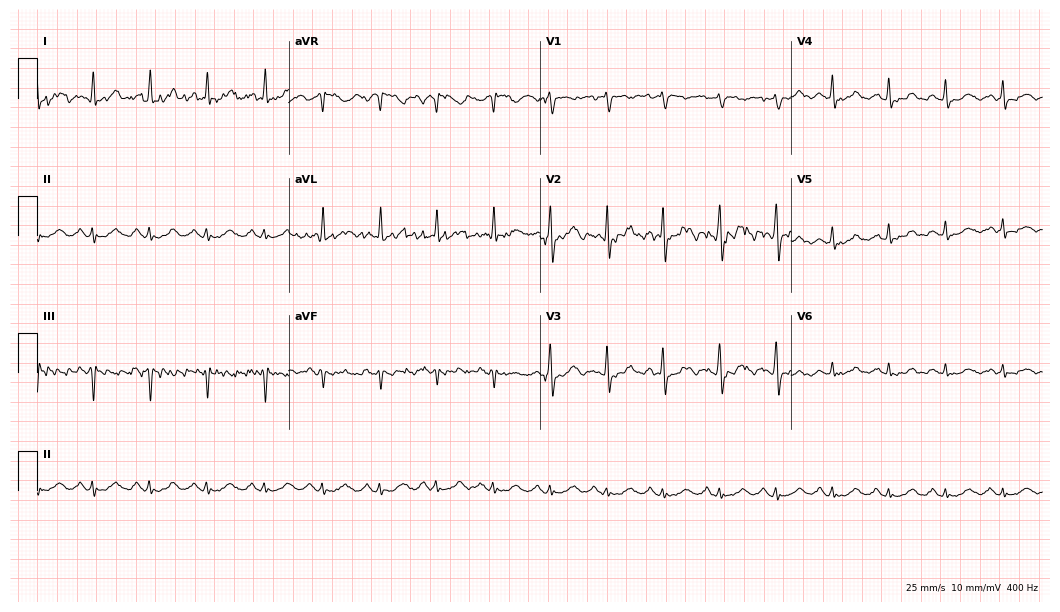
ECG (10.2-second recording at 400 Hz) — a female patient, 62 years old. Findings include sinus tachycardia (a sinus rate of 100 beats per minute or more).